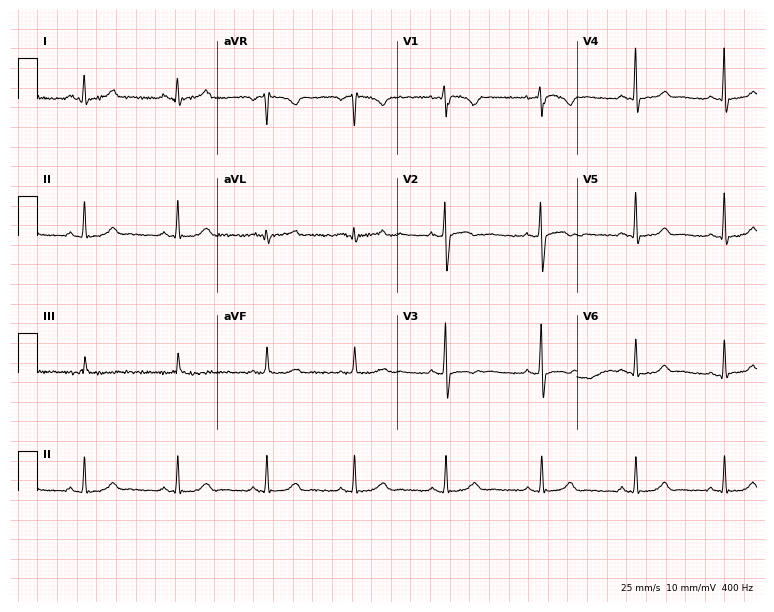
ECG — a female, 36 years old. Labelled as a normal ECG.